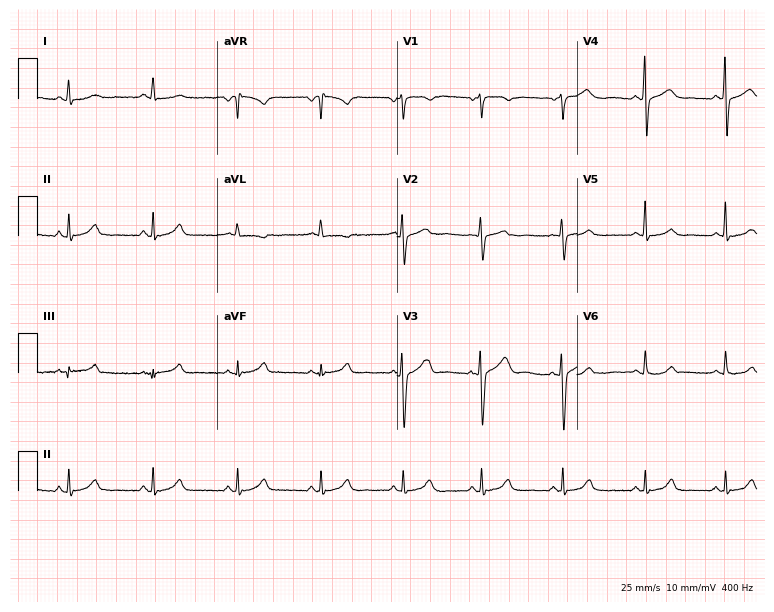
12-lead ECG from a female, 54 years old. Screened for six findings — first-degree AV block, right bundle branch block (RBBB), left bundle branch block (LBBB), sinus bradycardia, atrial fibrillation (AF), sinus tachycardia — none is recorded. Other findings, if any, are not listed.